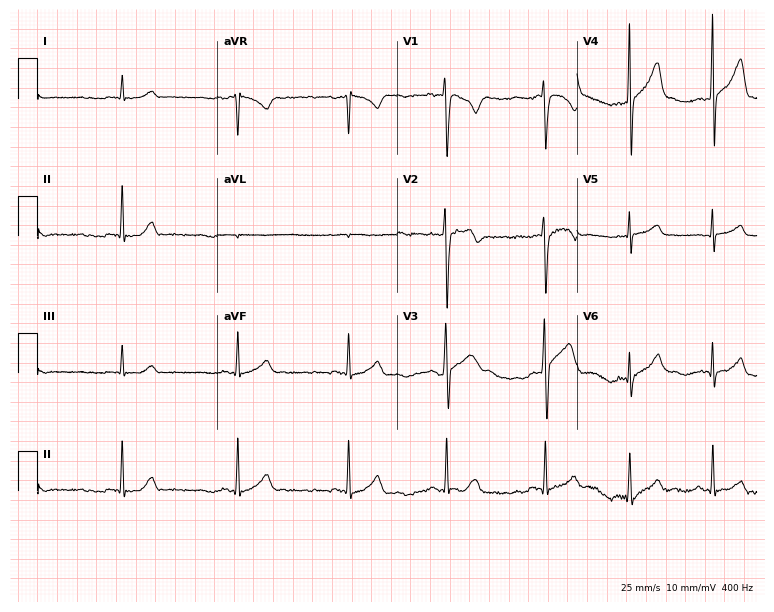
12-lead ECG from a 21-year-old man. Labelled as a normal ECG.